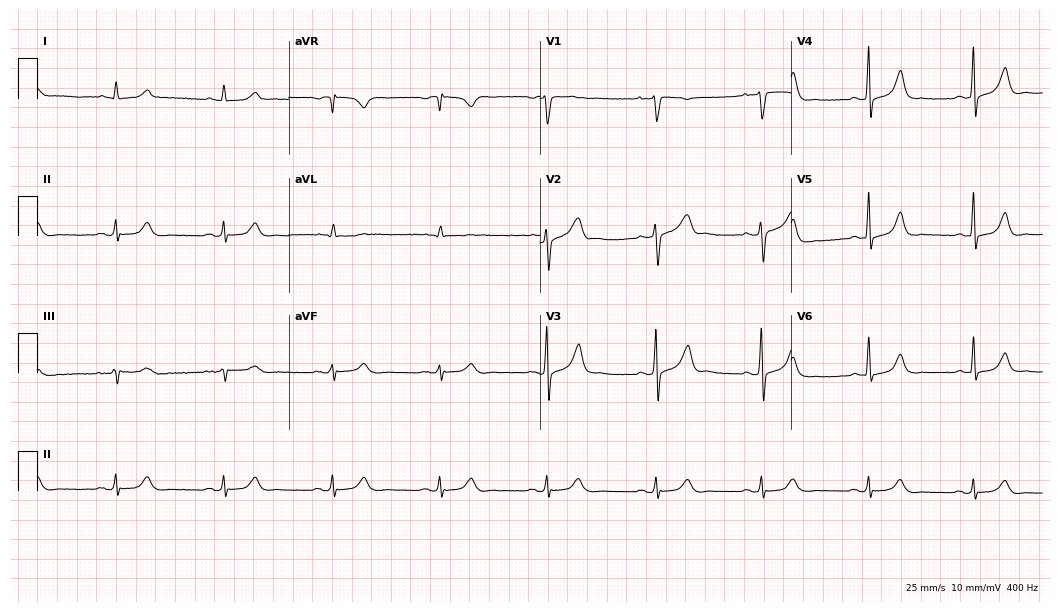
Standard 12-lead ECG recorded from a 48-year-old male patient. Read as a normal ECG.